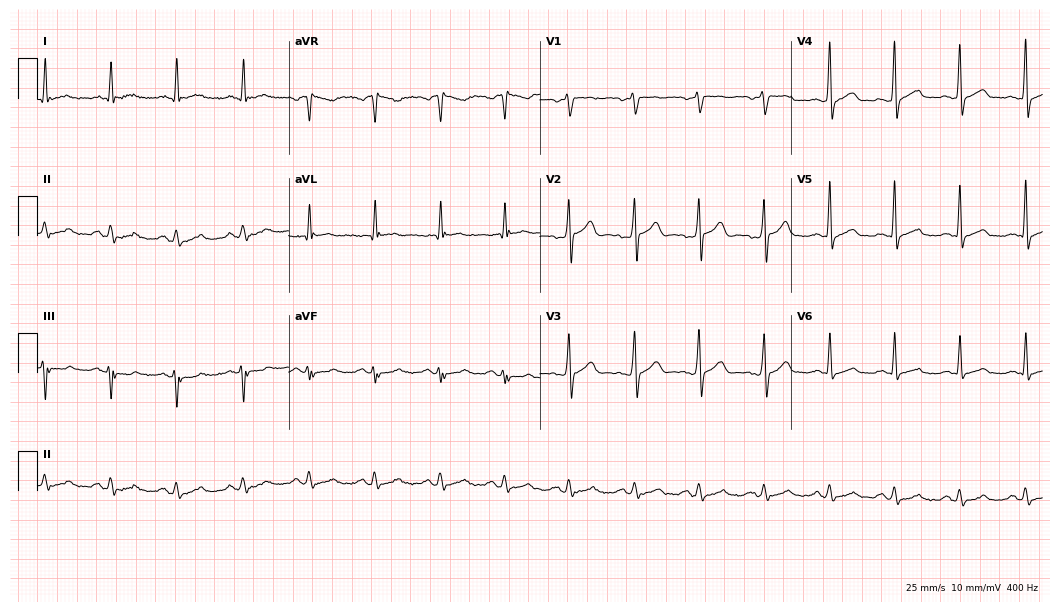
12-lead ECG from a male, 43 years old (10.2-second recording at 400 Hz). No first-degree AV block, right bundle branch block (RBBB), left bundle branch block (LBBB), sinus bradycardia, atrial fibrillation (AF) or sinus tachycardia recorded for this tracing. Only these six findings were labelled.